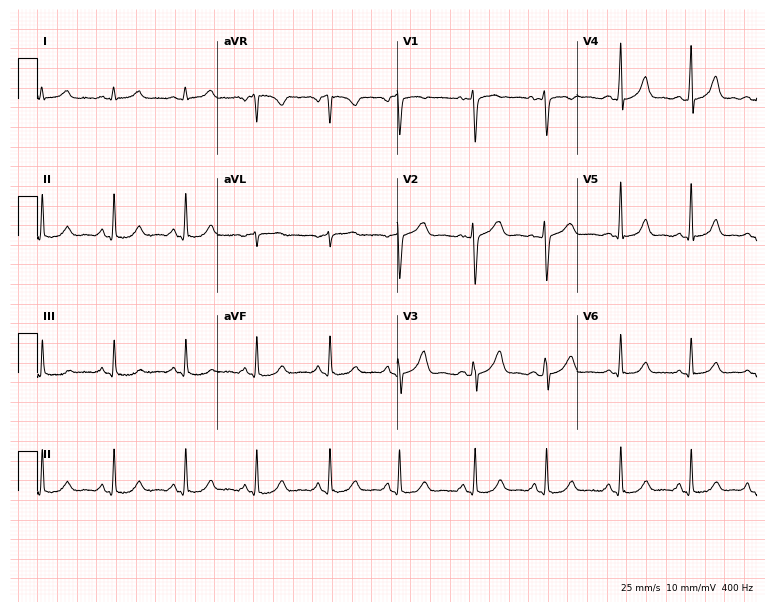
Standard 12-lead ECG recorded from a female patient, 37 years old. Read as a normal ECG.